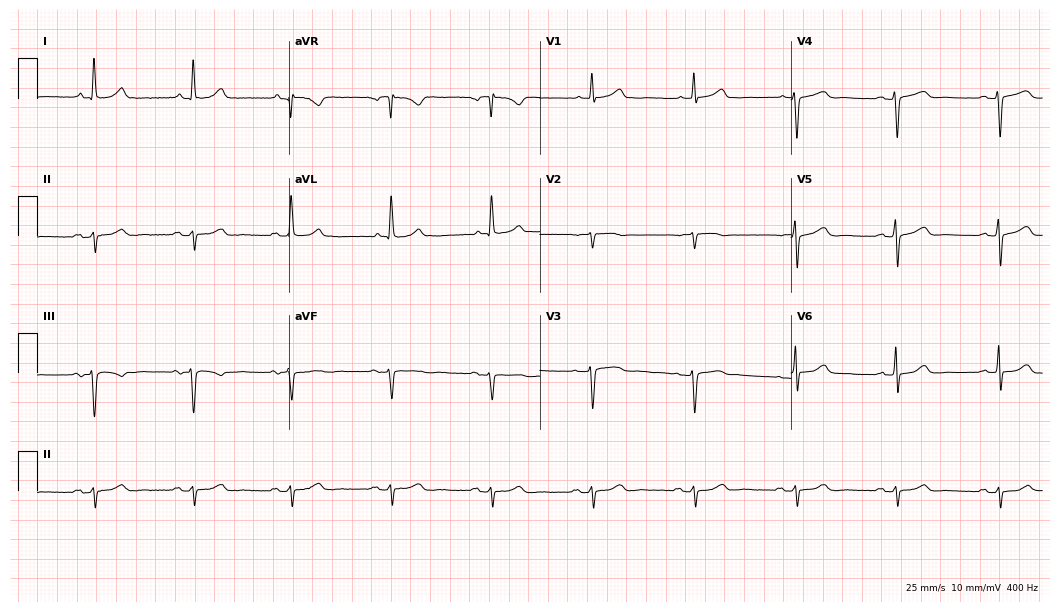
ECG — a 75-year-old female. Screened for six findings — first-degree AV block, right bundle branch block (RBBB), left bundle branch block (LBBB), sinus bradycardia, atrial fibrillation (AF), sinus tachycardia — none is recorded. Other findings, if any, are not listed.